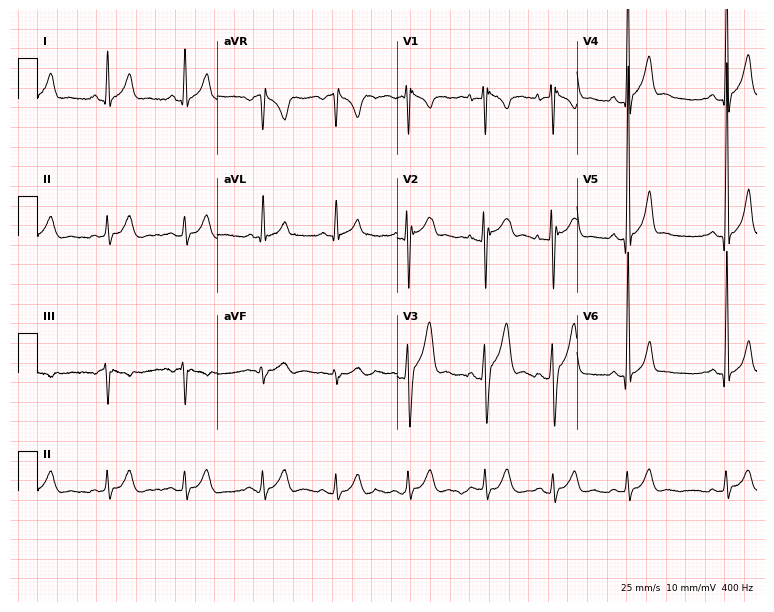
12-lead ECG from a 17-year-old man. No first-degree AV block, right bundle branch block, left bundle branch block, sinus bradycardia, atrial fibrillation or sinus tachycardia recorded for this tracing.